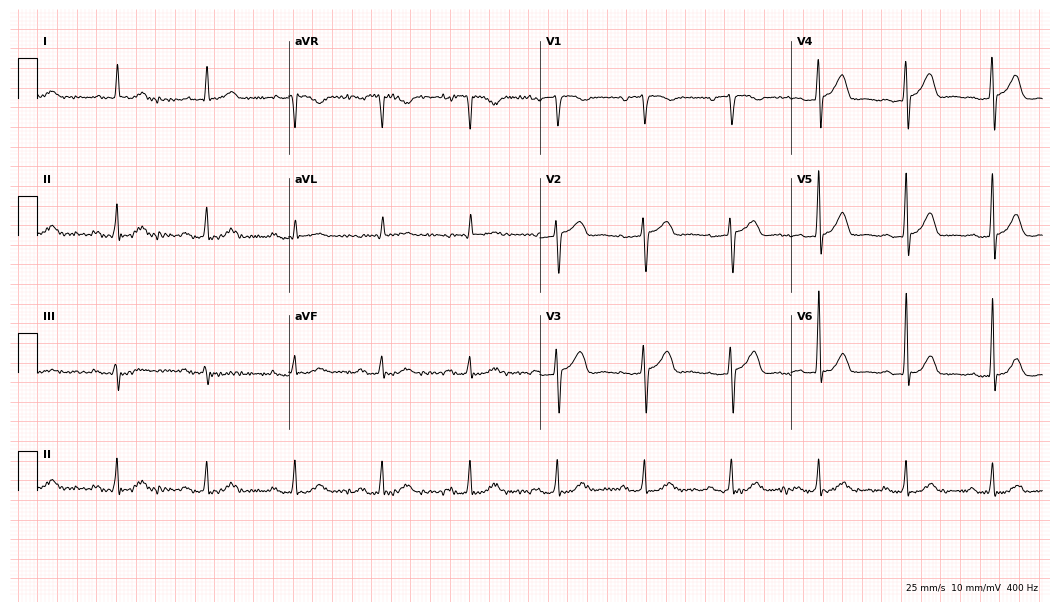
Resting 12-lead electrocardiogram (10.2-second recording at 400 Hz). Patient: a man, 79 years old. Read as a normal ECG.